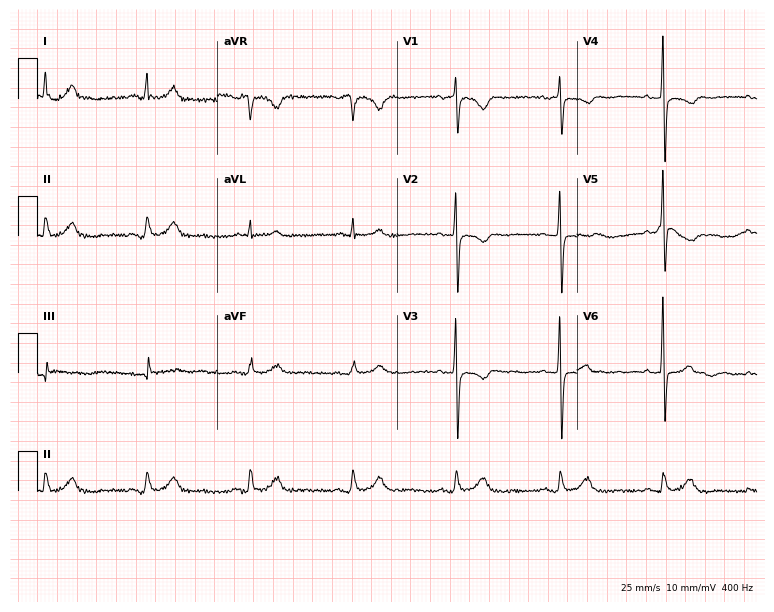
12-lead ECG from a 76-year-old female. Screened for six findings — first-degree AV block, right bundle branch block (RBBB), left bundle branch block (LBBB), sinus bradycardia, atrial fibrillation (AF), sinus tachycardia — none is recorded. Findings outside these six are not listed.